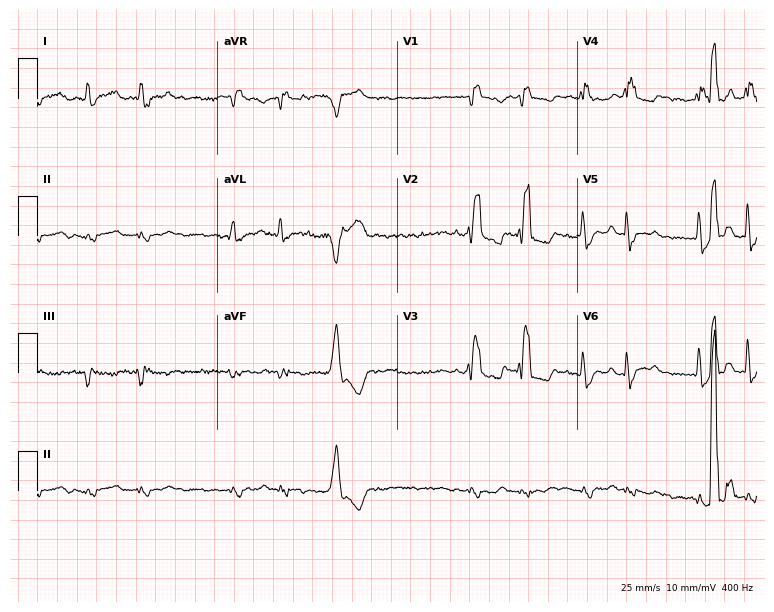
Resting 12-lead electrocardiogram (7.3-second recording at 400 Hz). Patient: a male, 62 years old. None of these six findings is recorded: first-degree AV block, right bundle branch block, left bundle branch block, sinus bradycardia, atrial fibrillation, sinus tachycardia. Only these six findings were labelled.